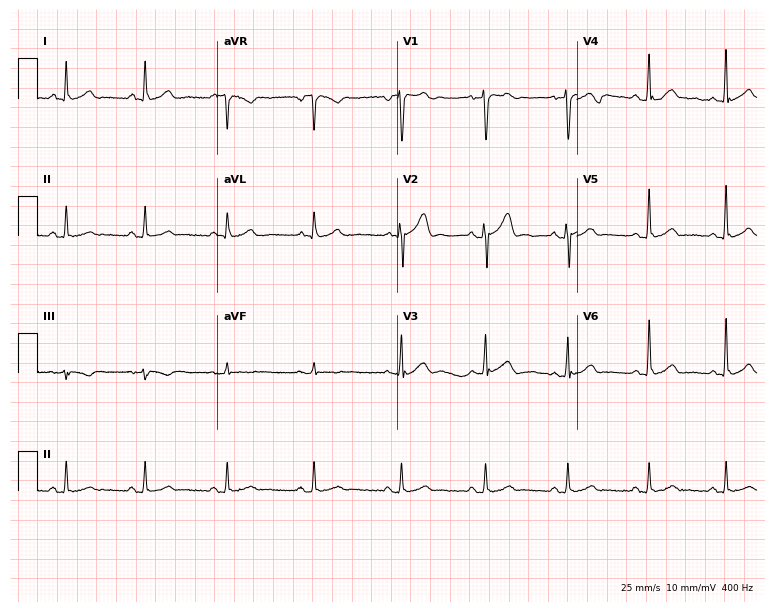
ECG — a 36-year-old male patient. Labelled as a normal ECG.